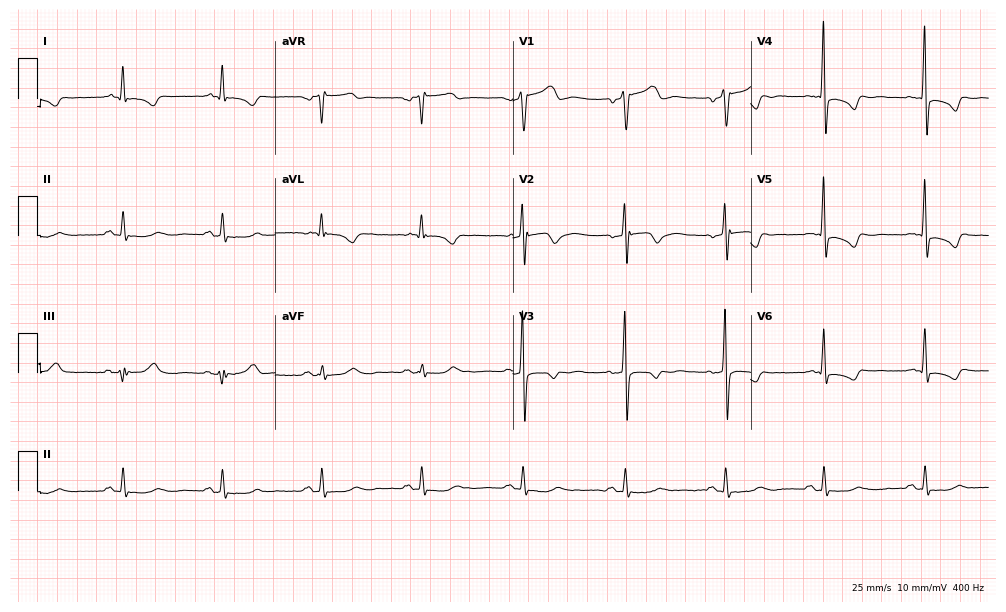
ECG — a male patient, 62 years old. Screened for six findings — first-degree AV block, right bundle branch block (RBBB), left bundle branch block (LBBB), sinus bradycardia, atrial fibrillation (AF), sinus tachycardia — none is recorded.